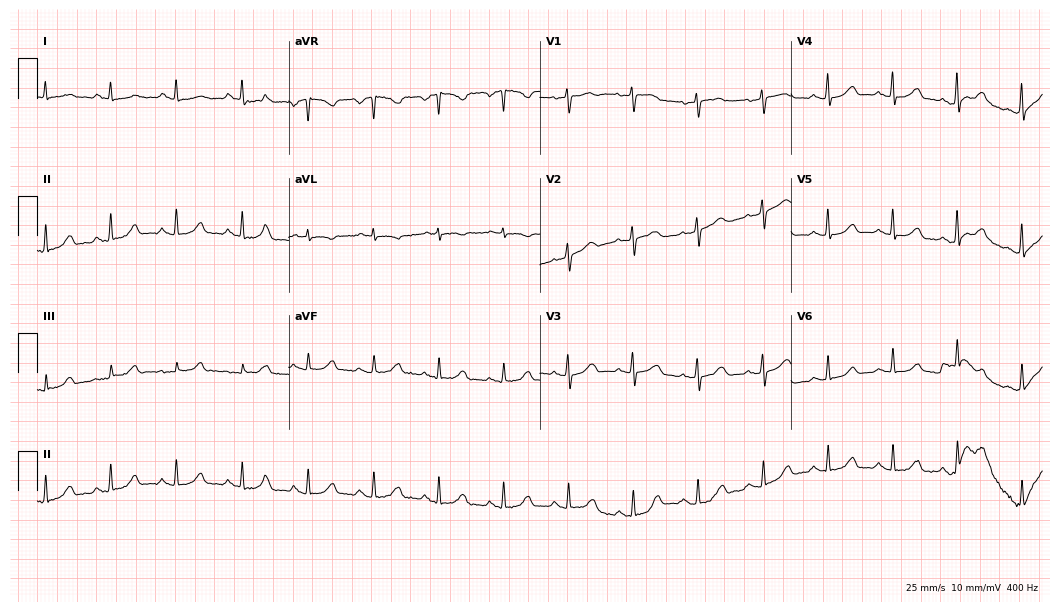
Resting 12-lead electrocardiogram (10.2-second recording at 400 Hz). Patient: a 64-year-old female. Read as a normal ECG.